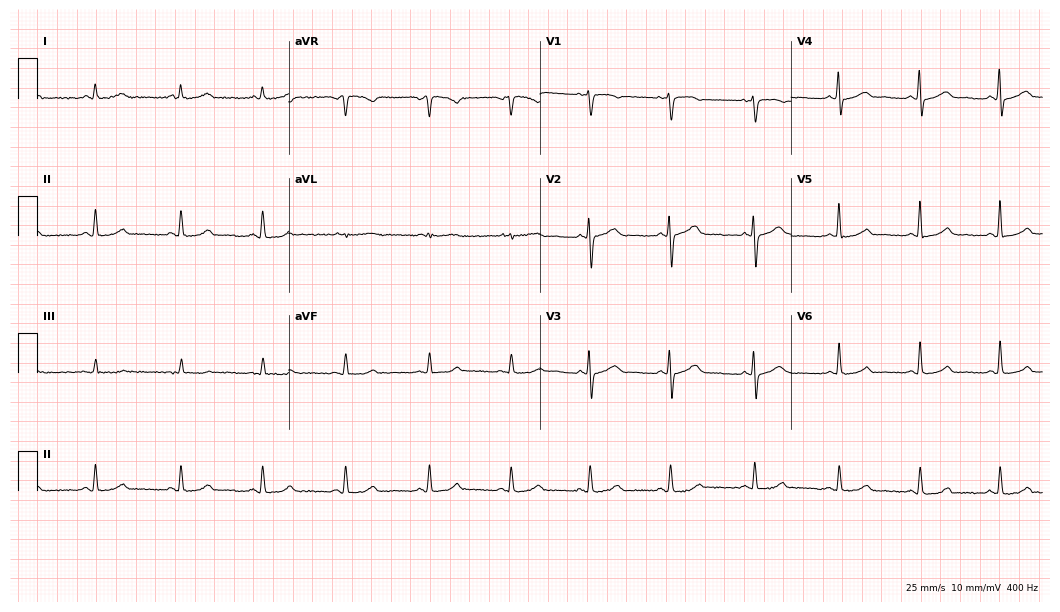
Standard 12-lead ECG recorded from a female, 47 years old. Read as a normal ECG.